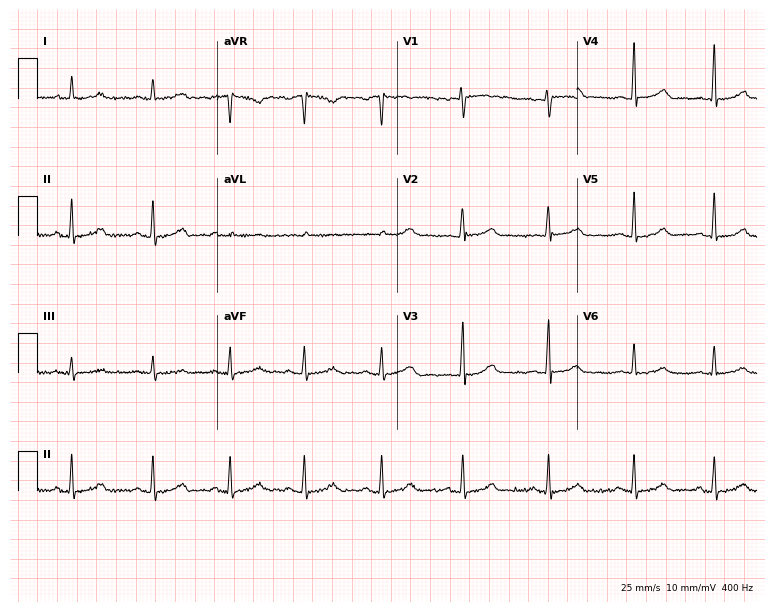
Resting 12-lead electrocardiogram (7.3-second recording at 400 Hz). Patient: a woman, 36 years old. Read as a normal ECG.